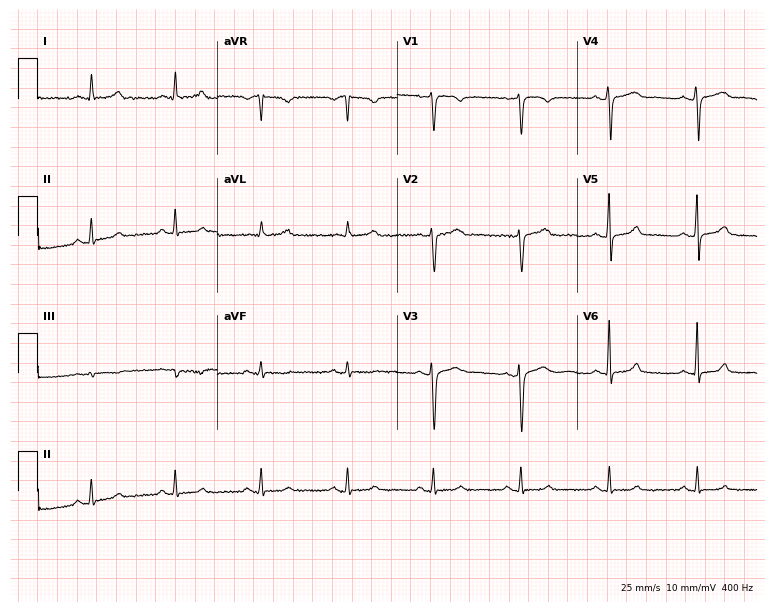
12-lead ECG from a 45-year-old female. Screened for six findings — first-degree AV block, right bundle branch block, left bundle branch block, sinus bradycardia, atrial fibrillation, sinus tachycardia — none is recorded.